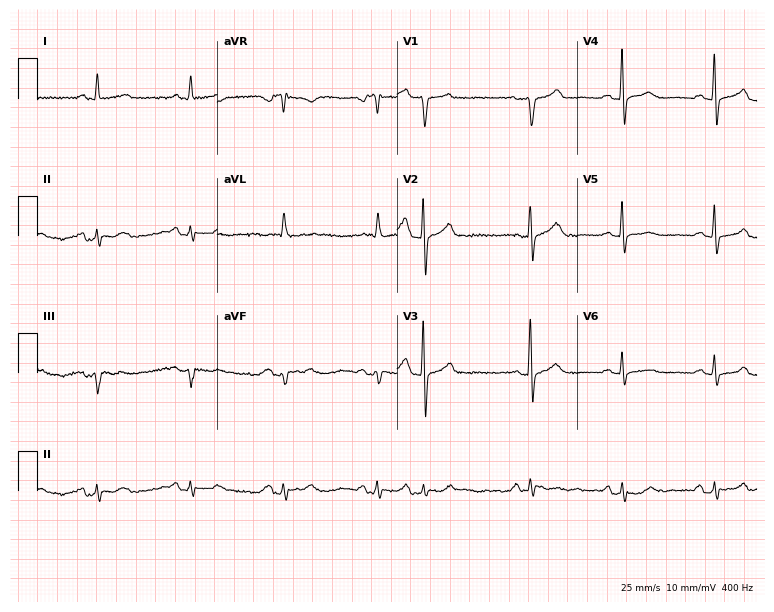
12-lead ECG from a male, 74 years old. Screened for six findings — first-degree AV block, right bundle branch block, left bundle branch block, sinus bradycardia, atrial fibrillation, sinus tachycardia — none is recorded. Only these six findings were labelled.